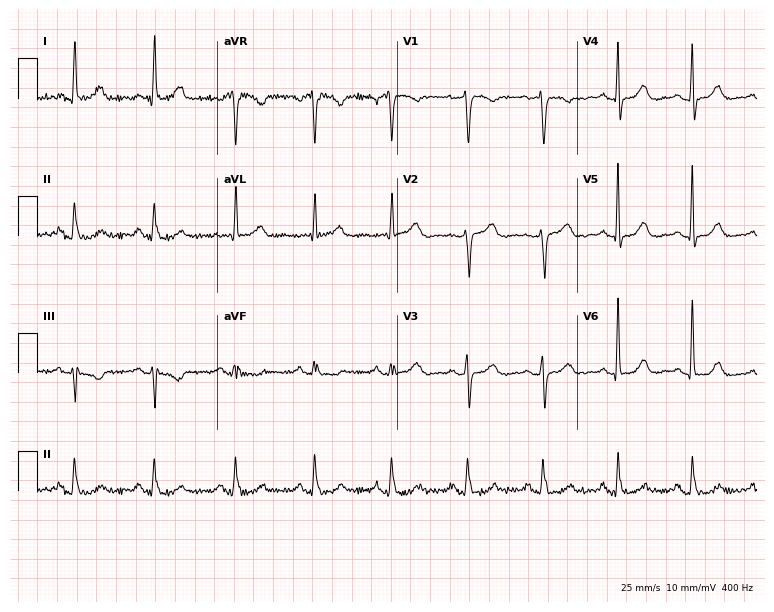
Electrocardiogram, a female, 72 years old. Overall reading on record: normal ECG.